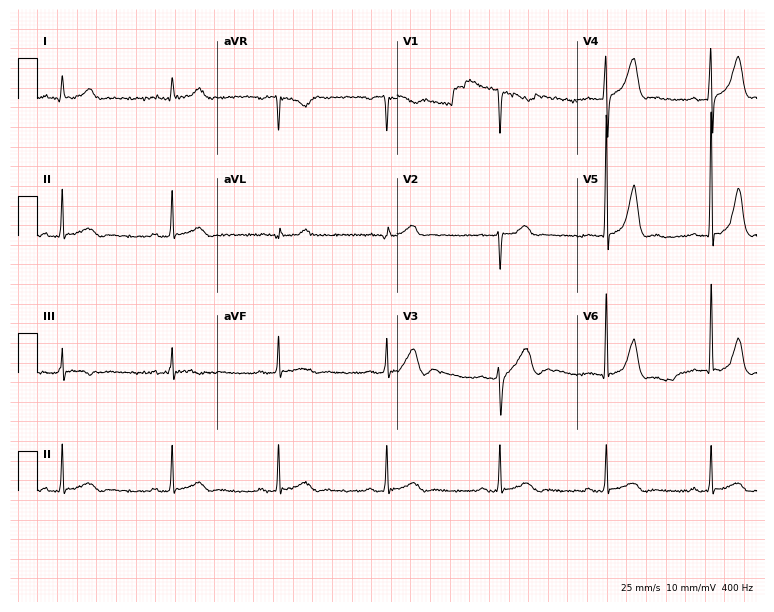
Electrocardiogram (7.3-second recording at 400 Hz), a man, 37 years old. Of the six screened findings (first-degree AV block, right bundle branch block, left bundle branch block, sinus bradycardia, atrial fibrillation, sinus tachycardia), none is recorded. Other findings, if any, are not listed.